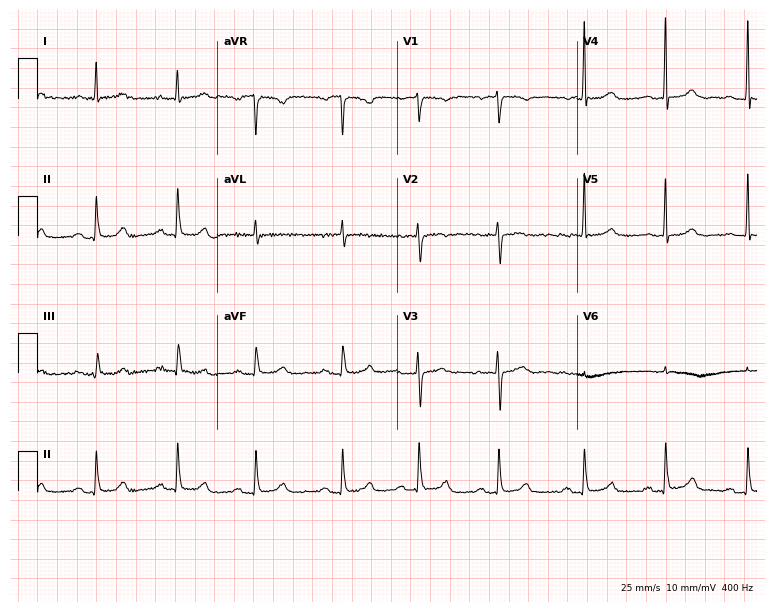
Electrocardiogram (7.3-second recording at 400 Hz), a 66-year-old female patient. Of the six screened findings (first-degree AV block, right bundle branch block (RBBB), left bundle branch block (LBBB), sinus bradycardia, atrial fibrillation (AF), sinus tachycardia), none is recorded. Only these six findings were labelled.